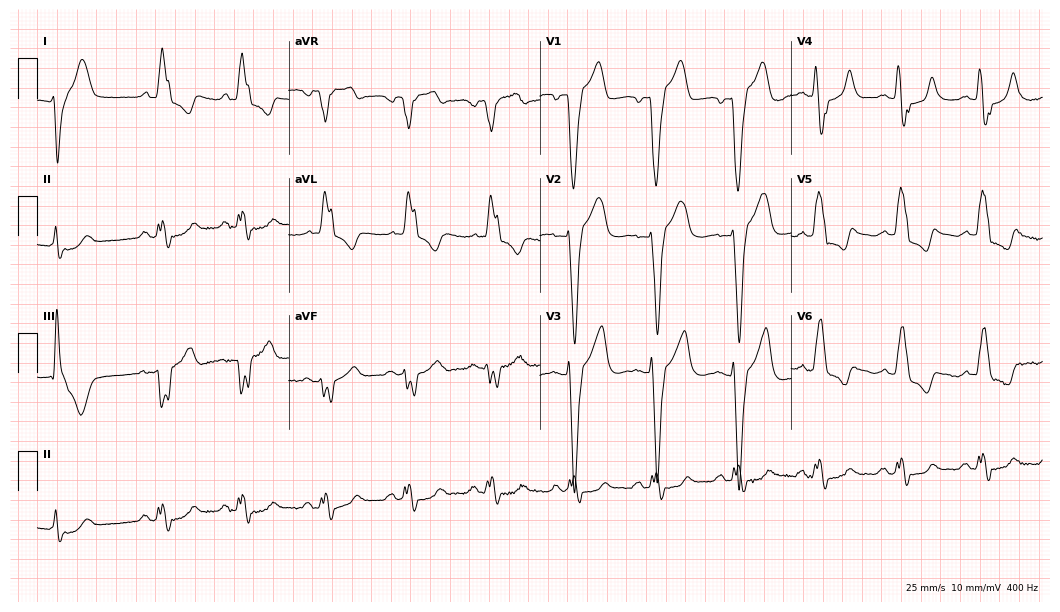
Standard 12-lead ECG recorded from a male, 75 years old. The tracing shows left bundle branch block.